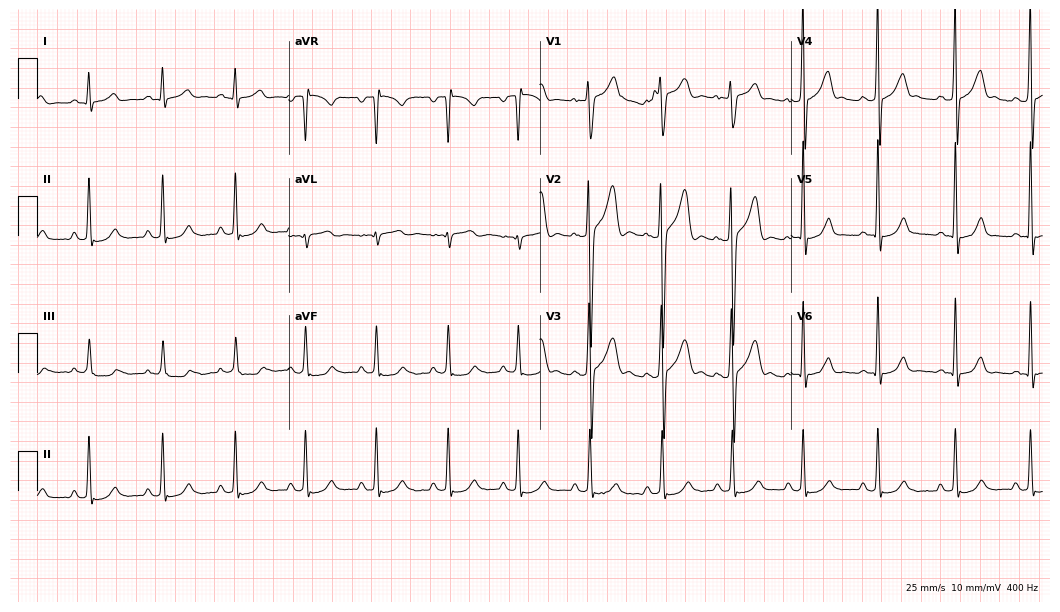
Standard 12-lead ECG recorded from a man, 17 years old (10.2-second recording at 400 Hz). None of these six findings is recorded: first-degree AV block, right bundle branch block (RBBB), left bundle branch block (LBBB), sinus bradycardia, atrial fibrillation (AF), sinus tachycardia. Only these six findings were labelled.